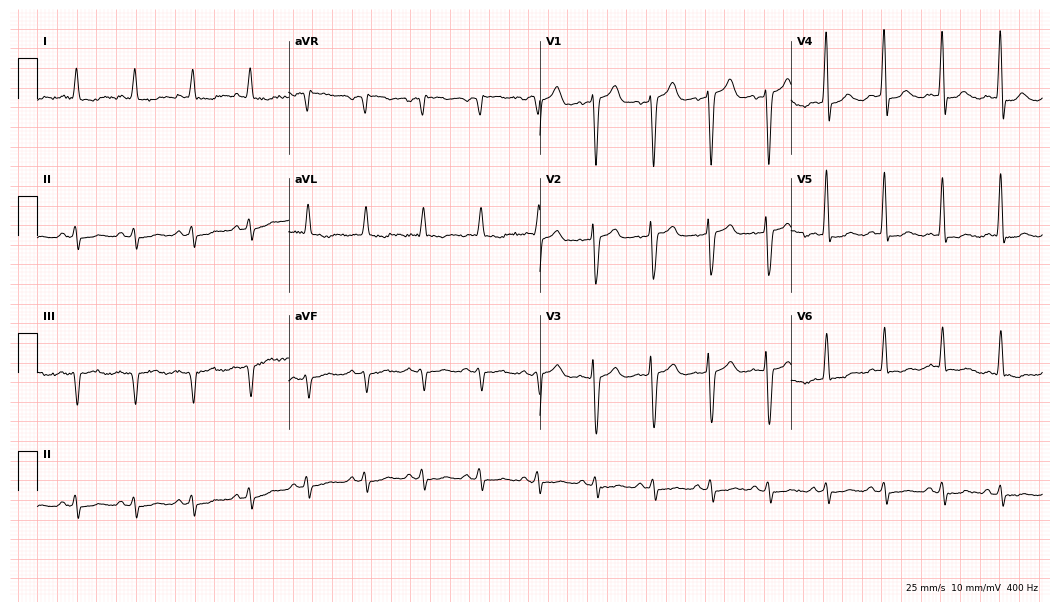
Electrocardiogram, a man, 59 years old. Of the six screened findings (first-degree AV block, right bundle branch block, left bundle branch block, sinus bradycardia, atrial fibrillation, sinus tachycardia), none is recorded. Findings outside these six are not listed.